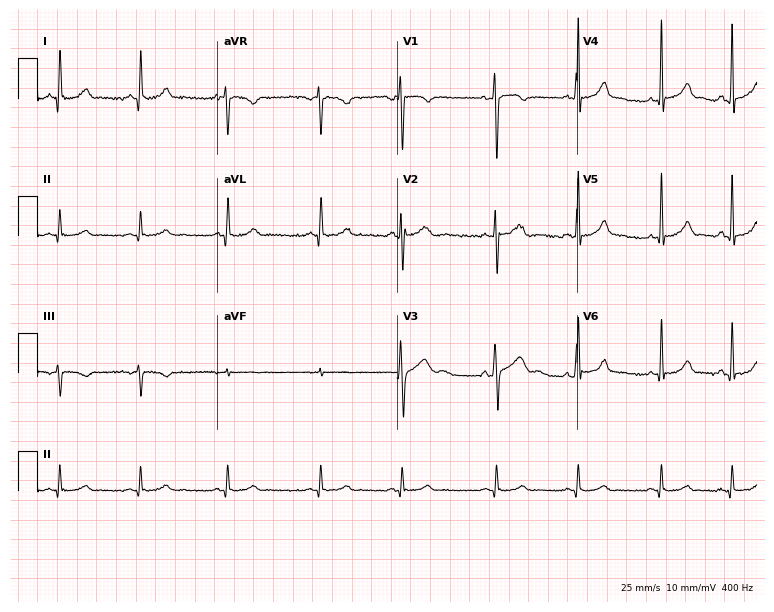
Standard 12-lead ECG recorded from a 17-year-old male patient. Read as a normal ECG.